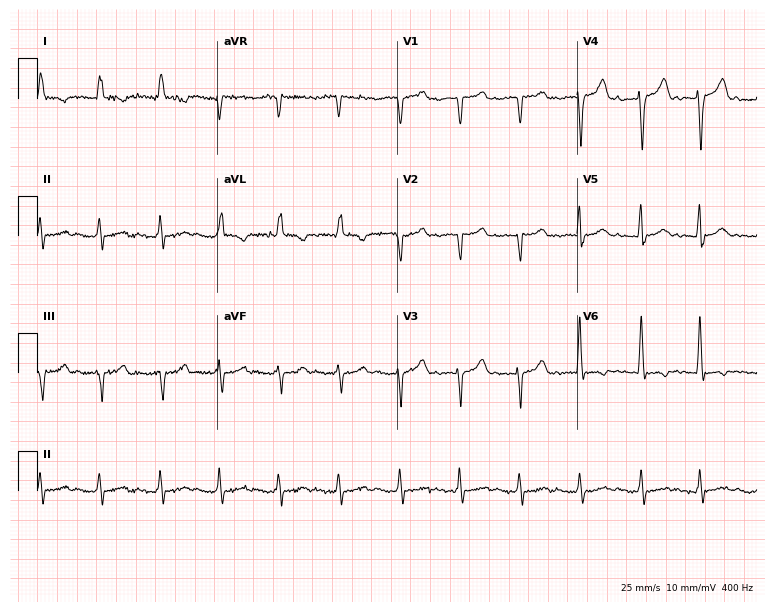
ECG — a female, 85 years old. Findings include first-degree AV block.